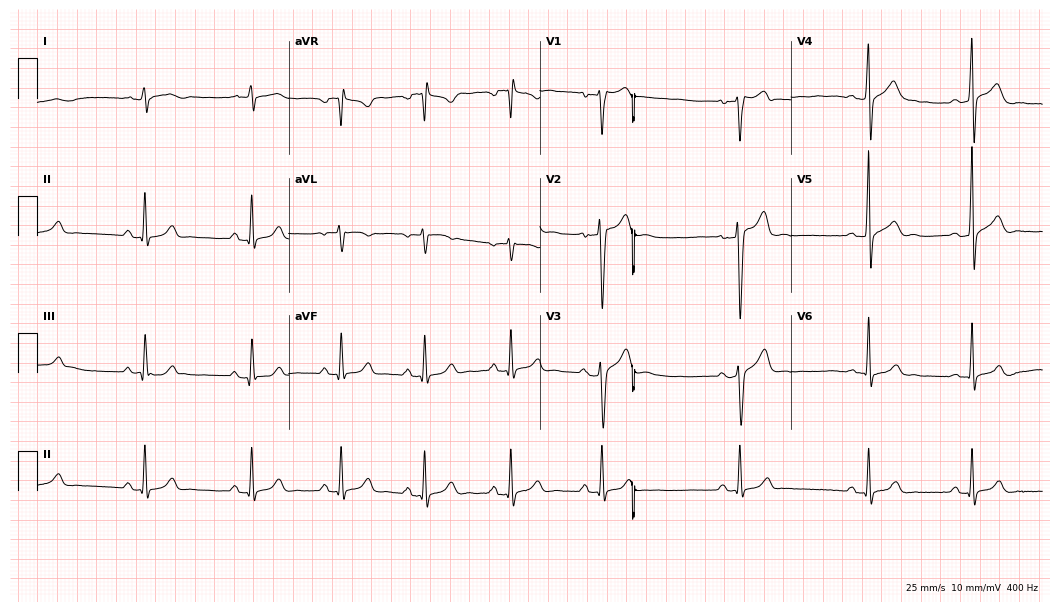
Standard 12-lead ECG recorded from a male patient, 21 years old. Read as a normal ECG.